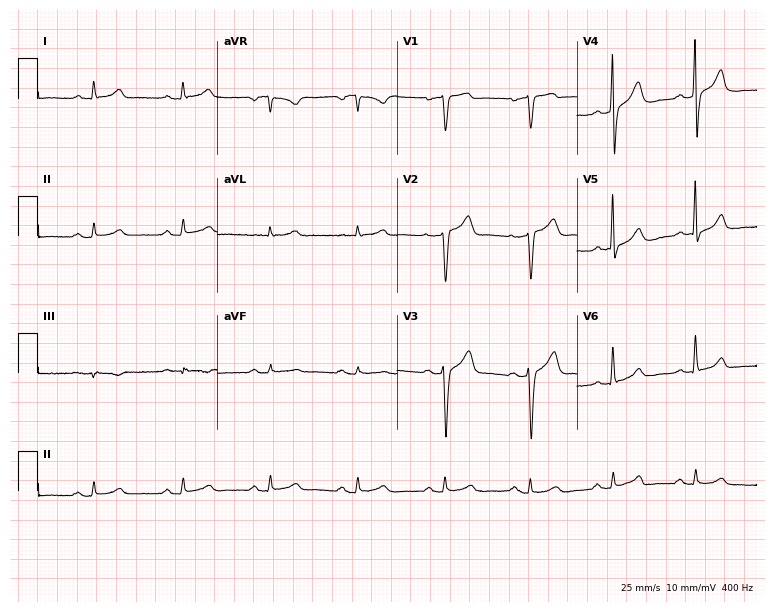
Electrocardiogram, a male, 53 years old. Overall reading on record: normal ECG.